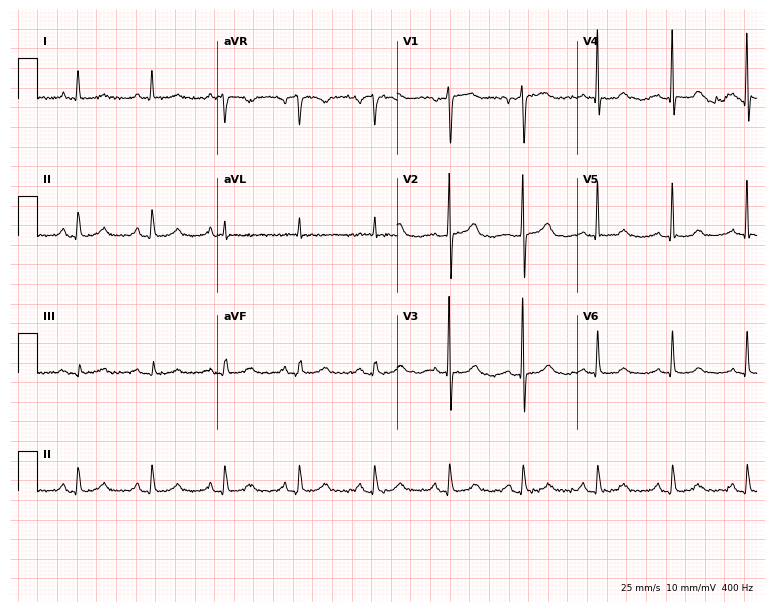
12-lead ECG (7.3-second recording at 400 Hz) from an 84-year-old female. Screened for six findings — first-degree AV block, right bundle branch block (RBBB), left bundle branch block (LBBB), sinus bradycardia, atrial fibrillation (AF), sinus tachycardia — none is recorded.